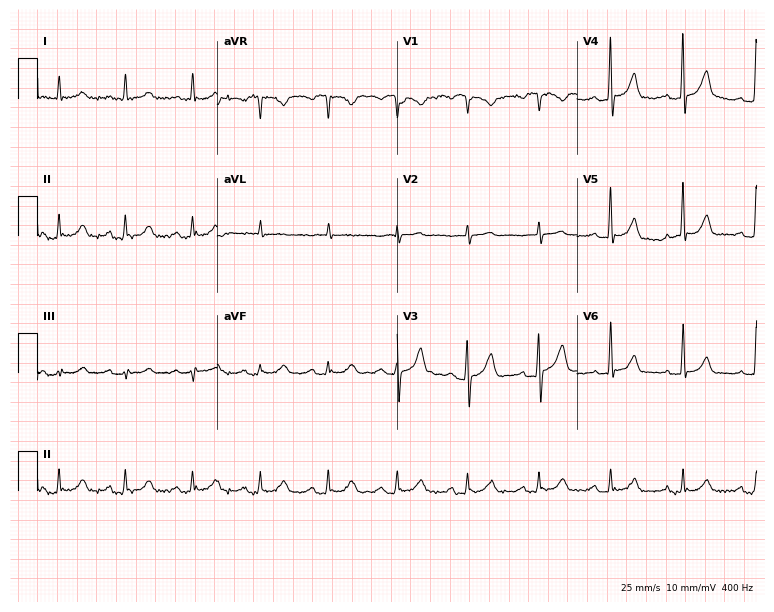
Electrocardiogram (7.3-second recording at 400 Hz), a male patient, 71 years old. Overall reading on record: normal ECG.